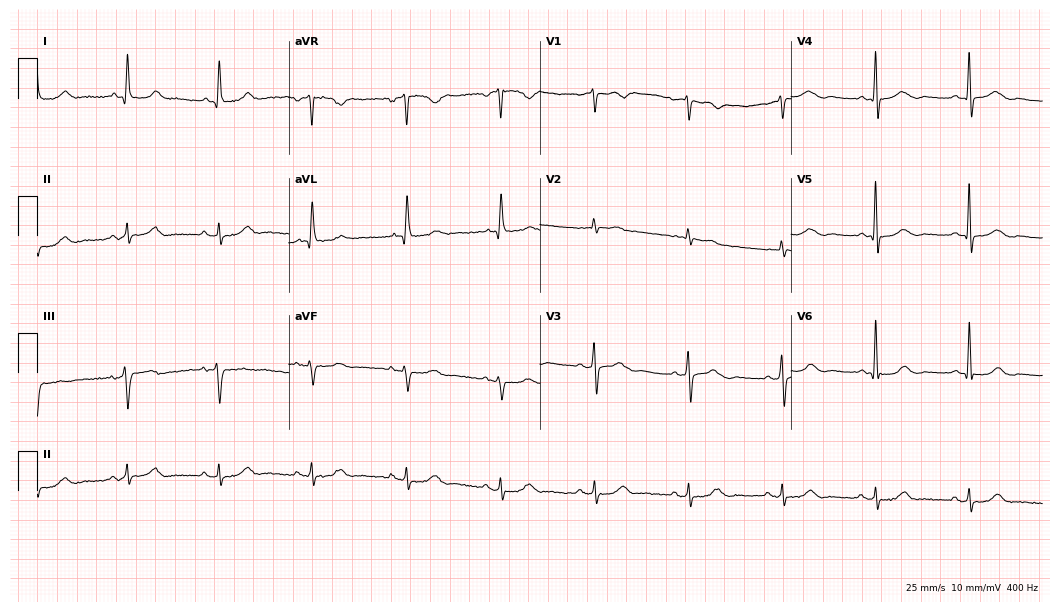
Resting 12-lead electrocardiogram (10.2-second recording at 400 Hz). Patient: a male, 83 years old. Read as a normal ECG.